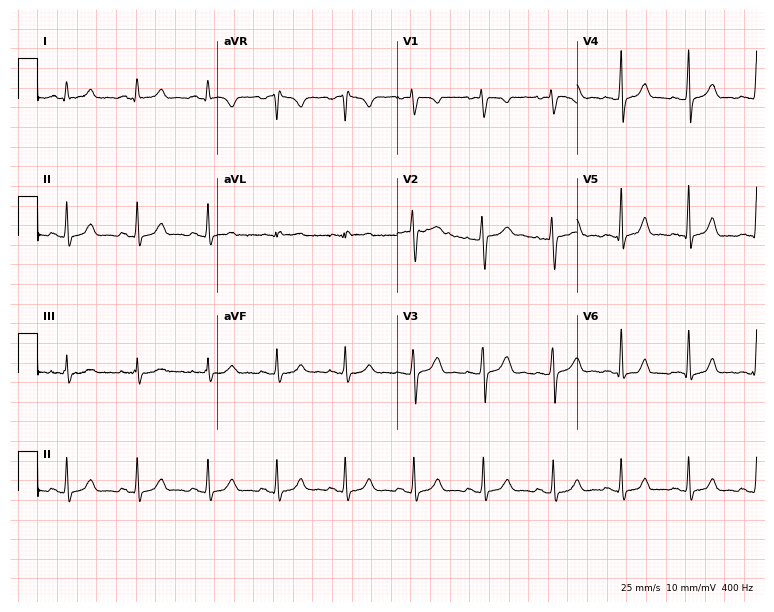
ECG — a female, 20 years old. Labelled as a normal ECG.